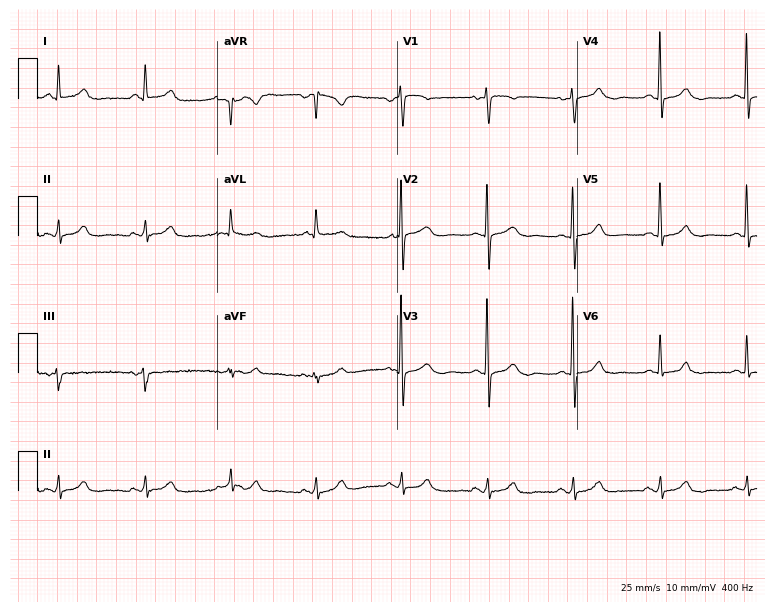
Standard 12-lead ECG recorded from a female patient, 69 years old (7.3-second recording at 400 Hz). None of these six findings is recorded: first-degree AV block, right bundle branch block, left bundle branch block, sinus bradycardia, atrial fibrillation, sinus tachycardia.